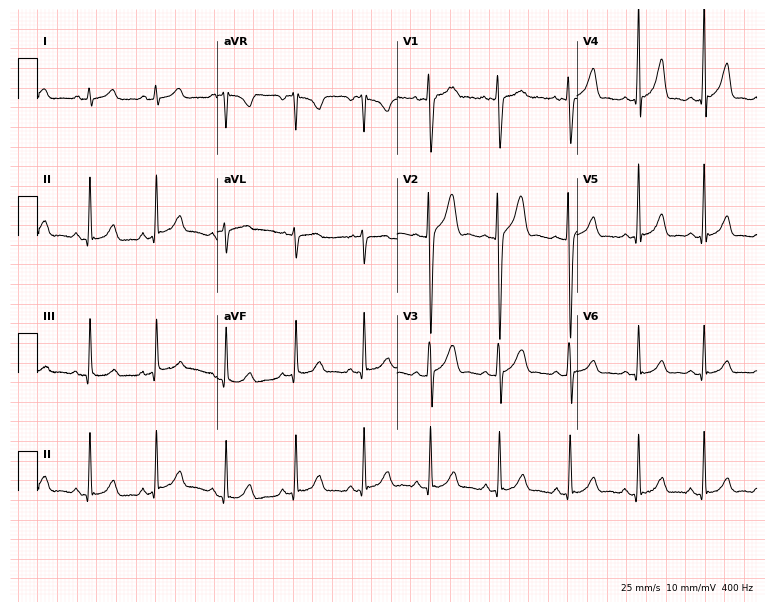
Electrocardiogram (7.3-second recording at 400 Hz), a male, 17 years old. Overall reading on record: normal ECG.